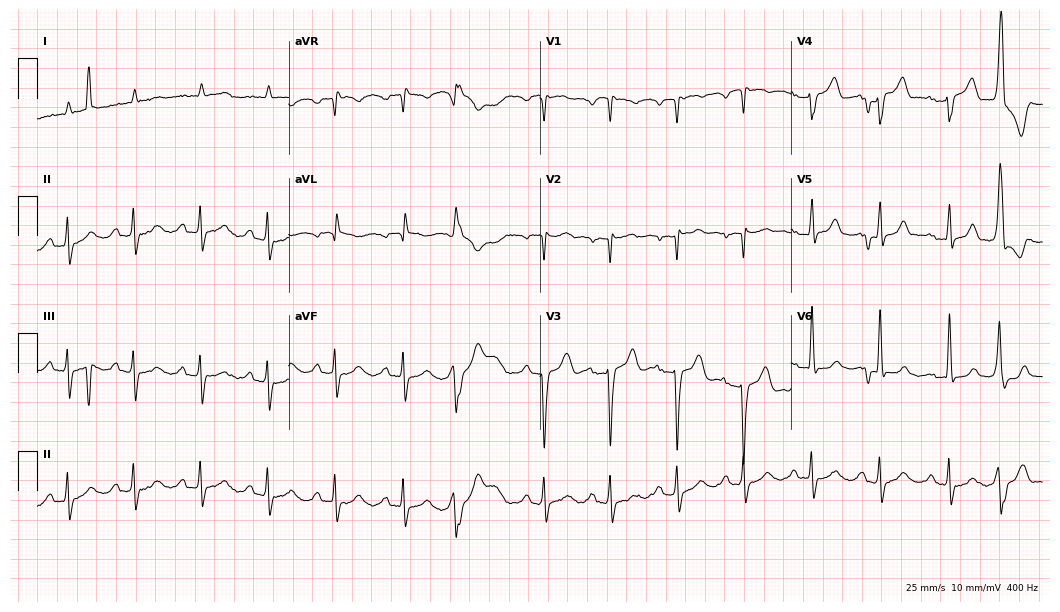
ECG — a man, 80 years old. Screened for six findings — first-degree AV block, right bundle branch block (RBBB), left bundle branch block (LBBB), sinus bradycardia, atrial fibrillation (AF), sinus tachycardia — none is recorded.